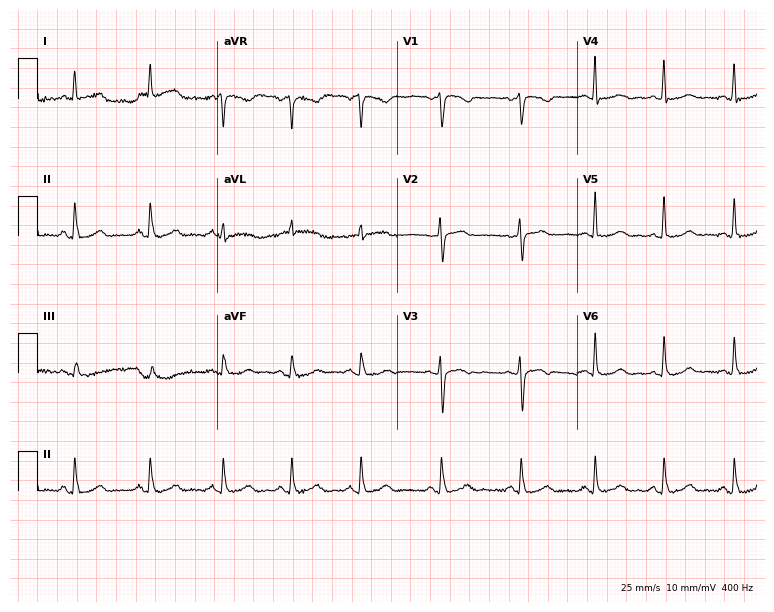
ECG — a 54-year-old woman. Screened for six findings — first-degree AV block, right bundle branch block (RBBB), left bundle branch block (LBBB), sinus bradycardia, atrial fibrillation (AF), sinus tachycardia — none is recorded. Only these six findings were labelled.